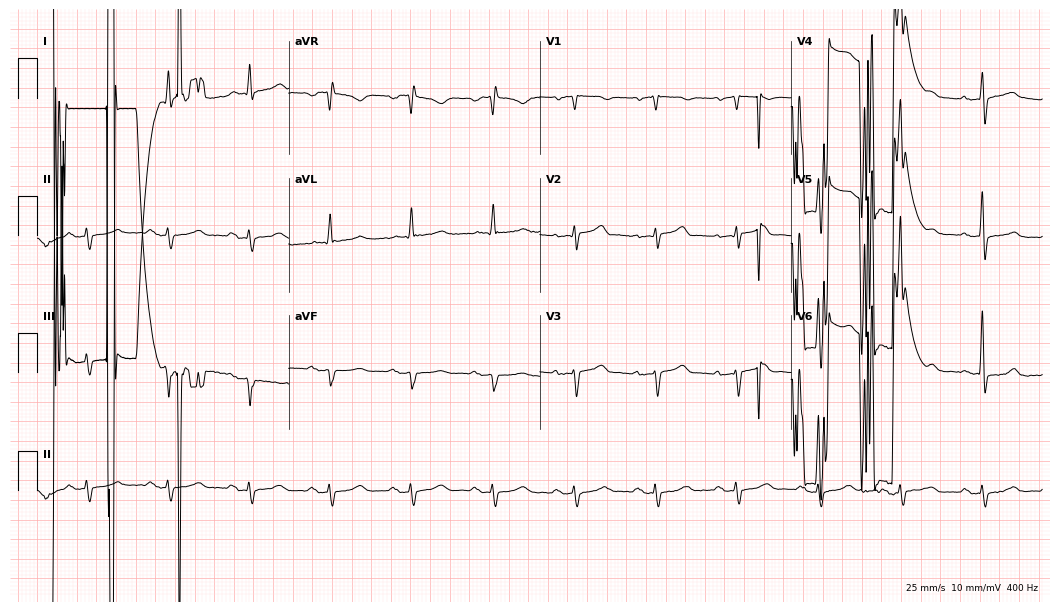
Standard 12-lead ECG recorded from an 84-year-old male patient. None of these six findings is recorded: first-degree AV block, right bundle branch block (RBBB), left bundle branch block (LBBB), sinus bradycardia, atrial fibrillation (AF), sinus tachycardia. Findings outside these six are not listed.